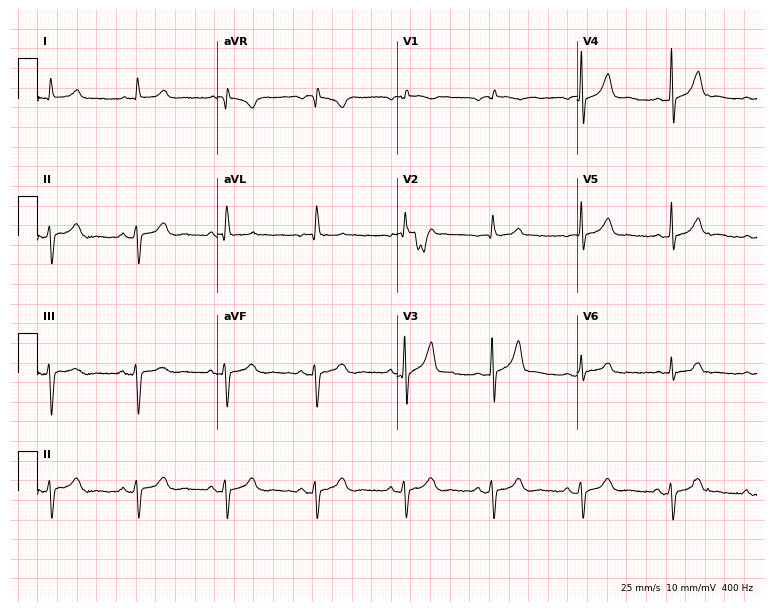
ECG (7.3-second recording at 400 Hz) — a 73-year-old male. Screened for six findings — first-degree AV block, right bundle branch block (RBBB), left bundle branch block (LBBB), sinus bradycardia, atrial fibrillation (AF), sinus tachycardia — none is recorded.